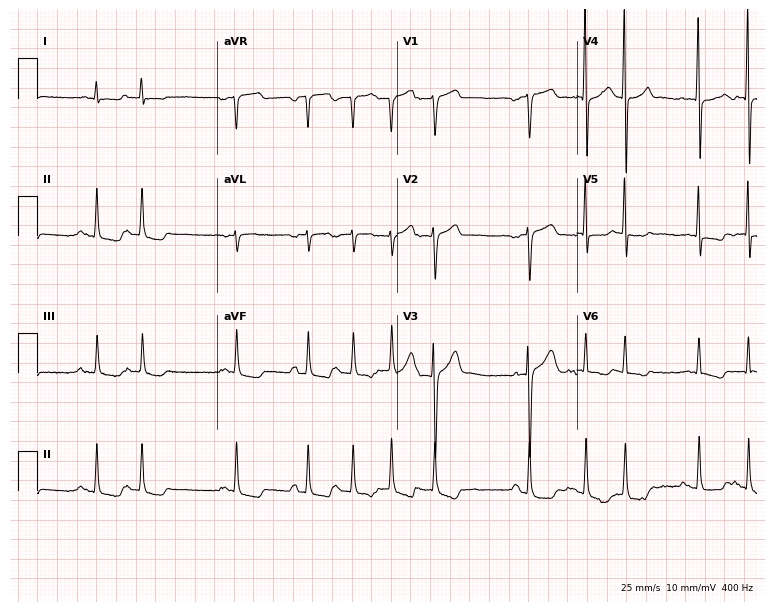
Electrocardiogram (7.3-second recording at 400 Hz), an 82-year-old male. Of the six screened findings (first-degree AV block, right bundle branch block (RBBB), left bundle branch block (LBBB), sinus bradycardia, atrial fibrillation (AF), sinus tachycardia), none is recorded.